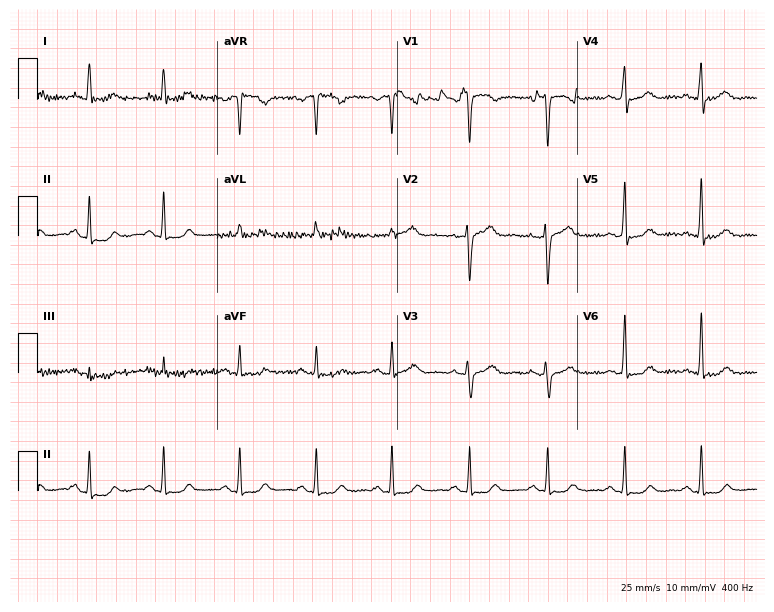
Standard 12-lead ECG recorded from a 45-year-old female. None of these six findings is recorded: first-degree AV block, right bundle branch block, left bundle branch block, sinus bradycardia, atrial fibrillation, sinus tachycardia.